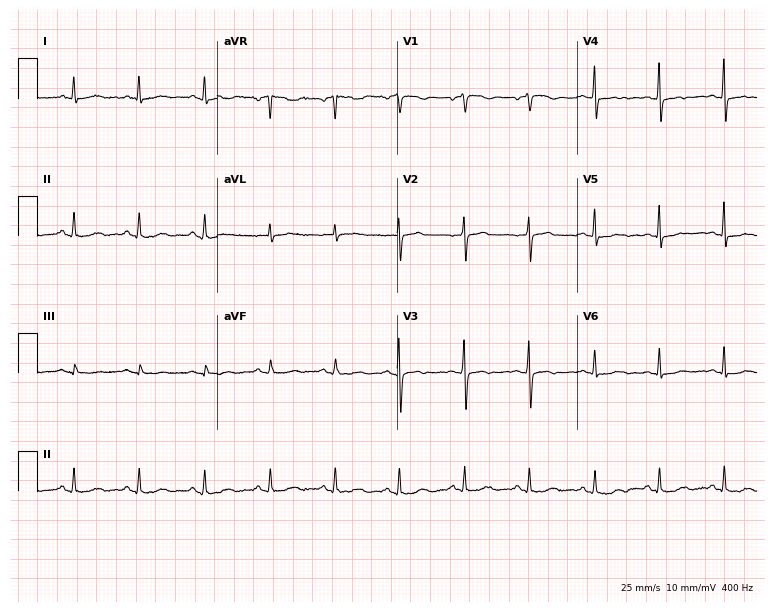
Electrocardiogram, a female patient, 52 years old. Of the six screened findings (first-degree AV block, right bundle branch block, left bundle branch block, sinus bradycardia, atrial fibrillation, sinus tachycardia), none is recorded. Only these six findings were labelled.